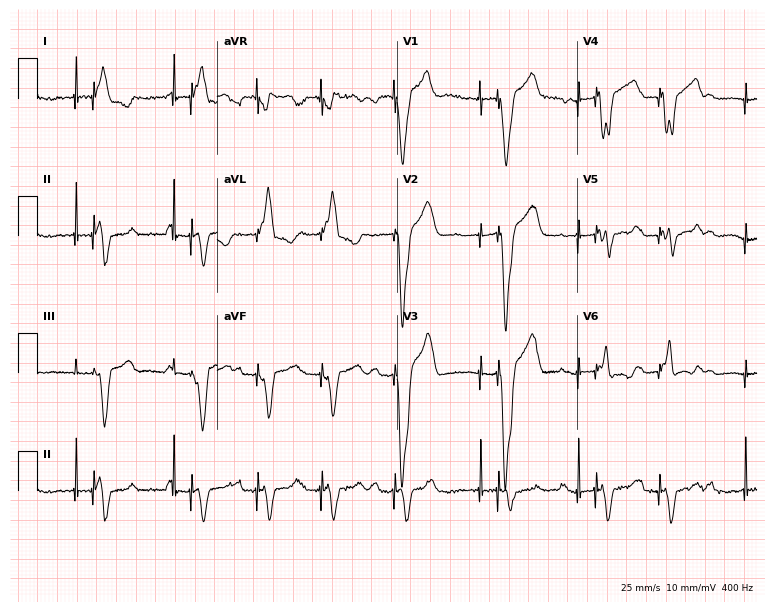
ECG — a 65-year-old male. Screened for six findings — first-degree AV block, right bundle branch block (RBBB), left bundle branch block (LBBB), sinus bradycardia, atrial fibrillation (AF), sinus tachycardia — none is recorded.